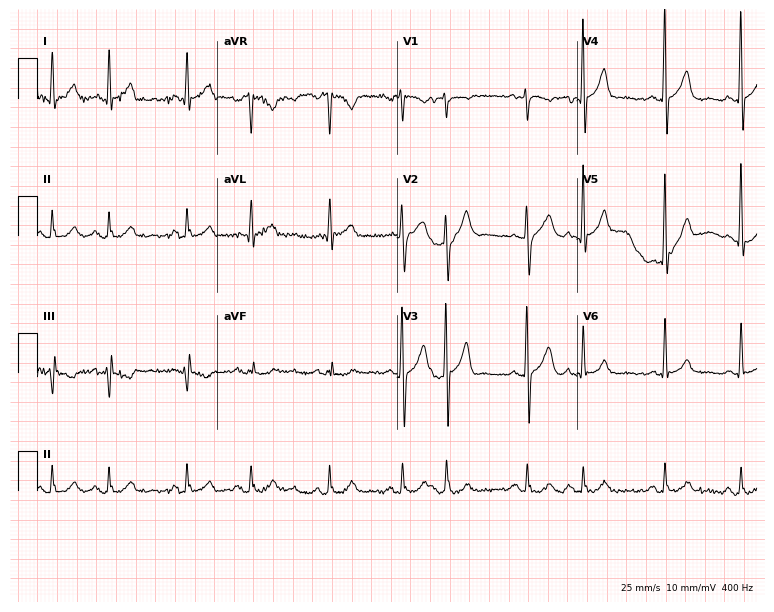
12-lead ECG from a man, 67 years old. Screened for six findings — first-degree AV block, right bundle branch block, left bundle branch block, sinus bradycardia, atrial fibrillation, sinus tachycardia — none is recorded.